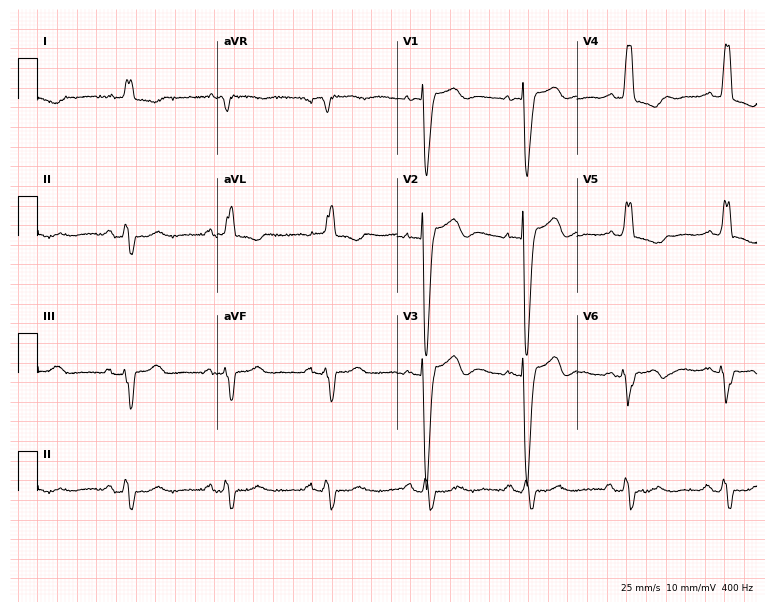
Resting 12-lead electrocardiogram (7.3-second recording at 400 Hz). Patient: an 84-year-old woman. The tracing shows left bundle branch block.